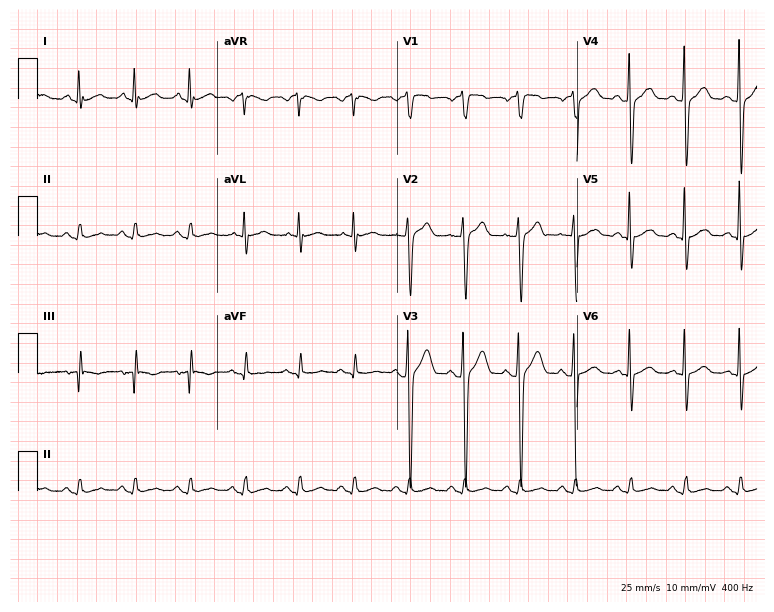
12-lead ECG from a 57-year-old male. Shows sinus tachycardia (a sinus rate of 100 beats per minute or more).